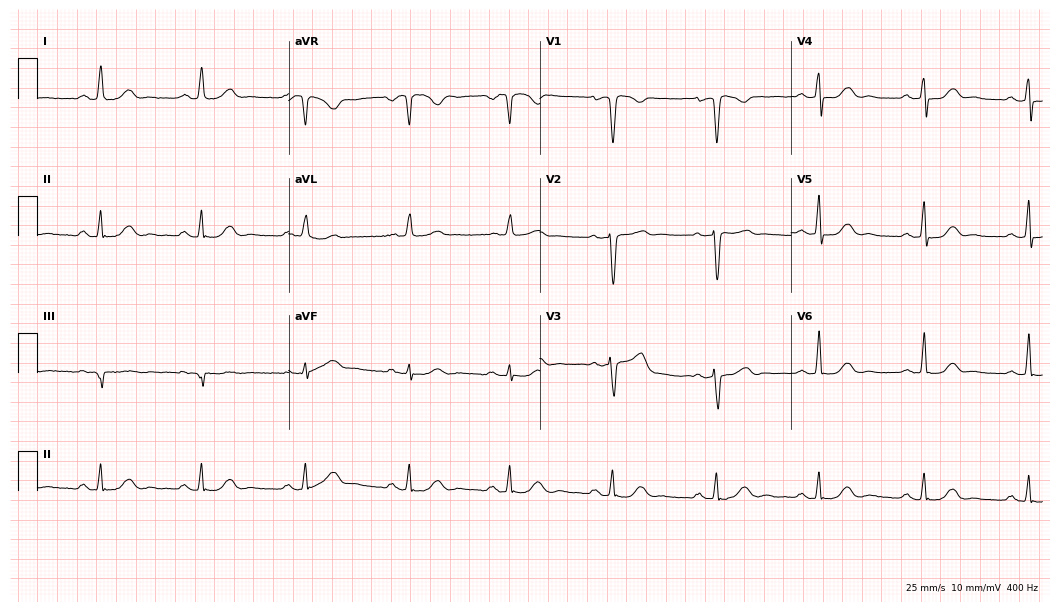
ECG — a 70-year-old female patient. Screened for six findings — first-degree AV block, right bundle branch block, left bundle branch block, sinus bradycardia, atrial fibrillation, sinus tachycardia — none is recorded. Findings outside these six are not listed.